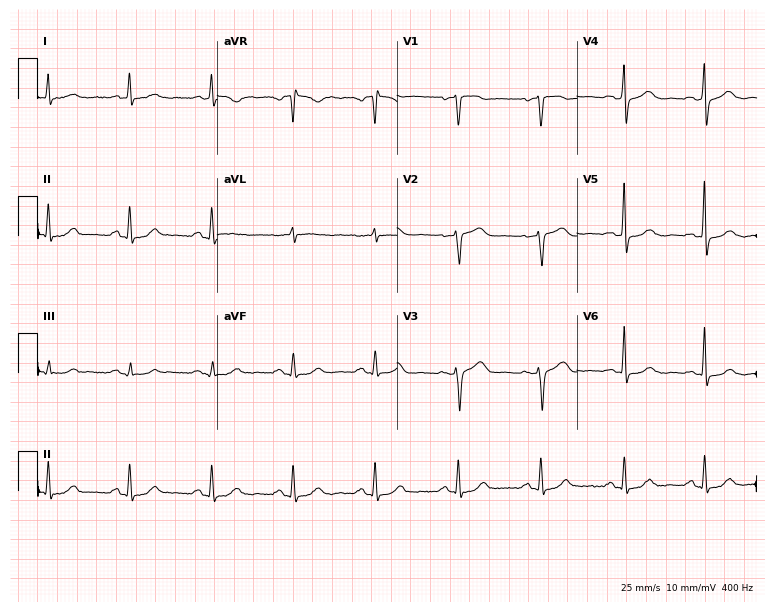
Electrocardiogram, a 64-year-old woman. Of the six screened findings (first-degree AV block, right bundle branch block (RBBB), left bundle branch block (LBBB), sinus bradycardia, atrial fibrillation (AF), sinus tachycardia), none is recorded.